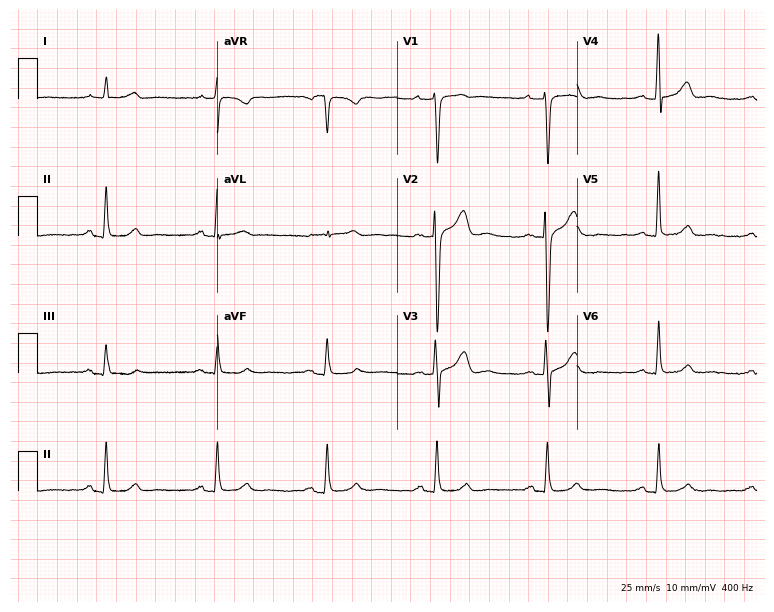
12-lead ECG from a 59-year-old male. Recorded interpretation: within normal limits.